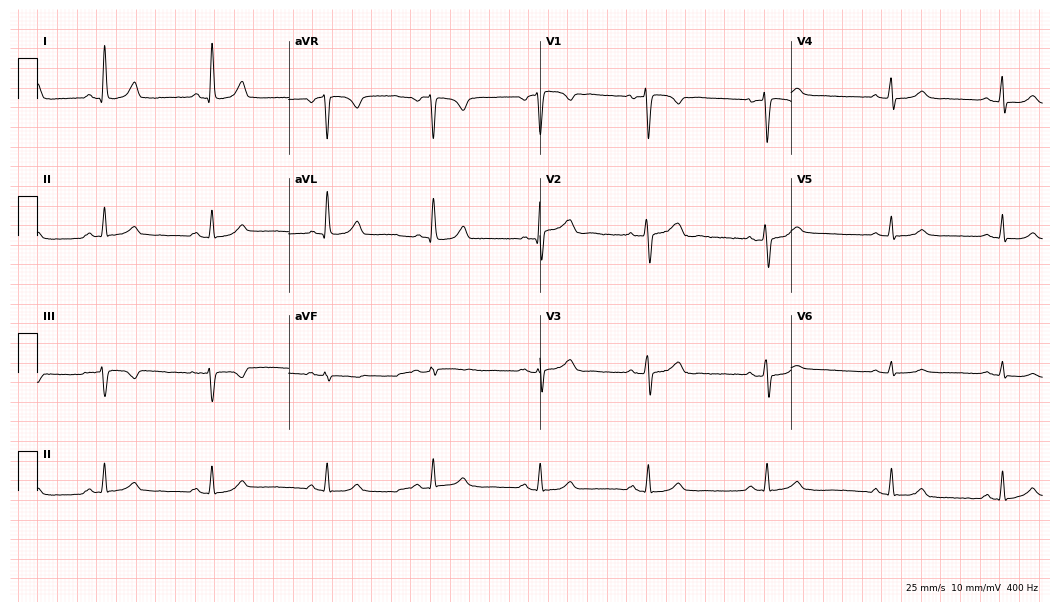
ECG — a 37-year-old woman. Labelled as a normal ECG.